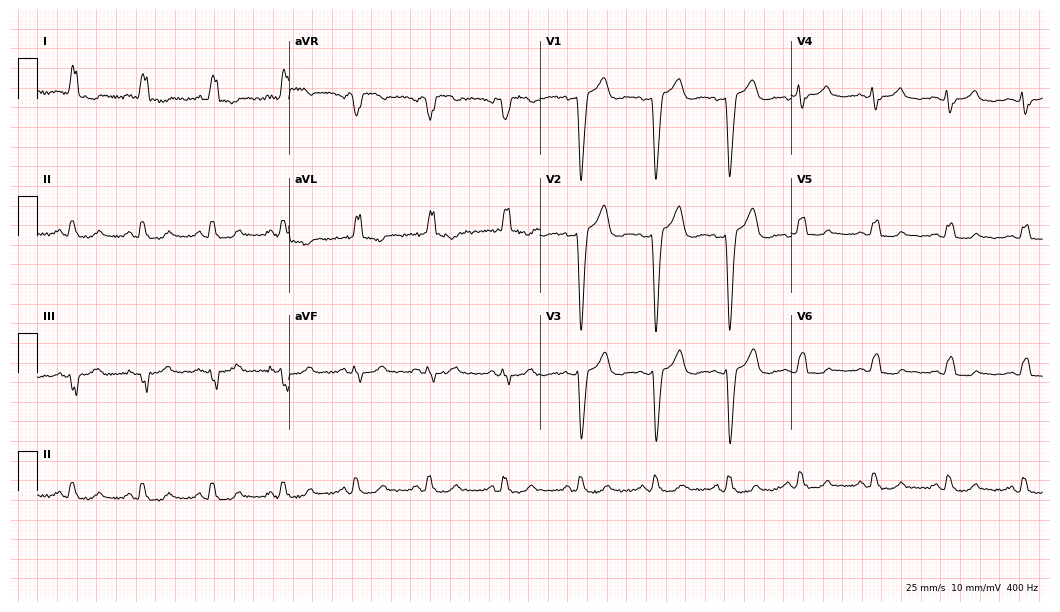
12-lead ECG from a 55-year-old female (10.2-second recording at 400 Hz). Shows left bundle branch block (LBBB).